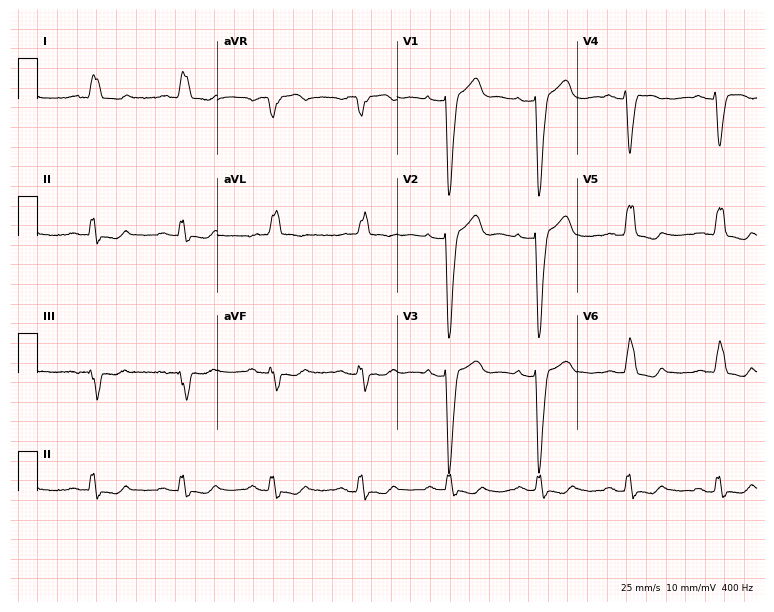
ECG (7.3-second recording at 400 Hz) — a 79-year-old female. Screened for six findings — first-degree AV block, right bundle branch block, left bundle branch block, sinus bradycardia, atrial fibrillation, sinus tachycardia — none is recorded. Only these six findings were labelled.